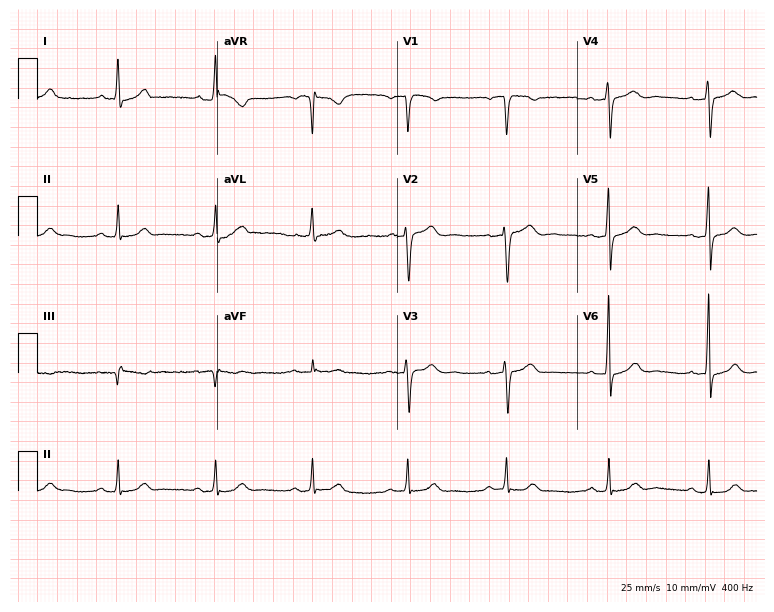
ECG — a 50-year-old male. Screened for six findings — first-degree AV block, right bundle branch block (RBBB), left bundle branch block (LBBB), sinus bradycardia, atrial fibrillation (AF), sinus tachycardia — none is recorded. Findings outside these six are not listed.